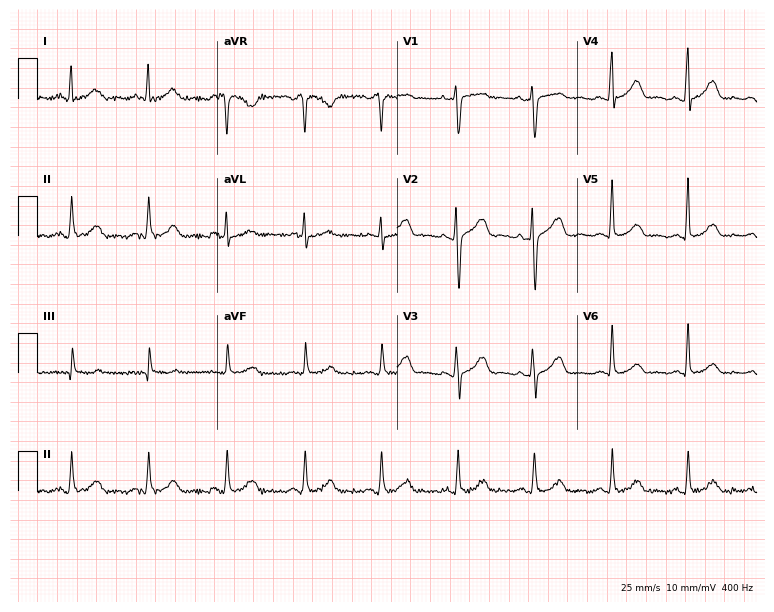
ECG — a female, 59 years old. Screened for six findings — first-degree AV block, right bundle branch block (RBBB), left bundle branch block (LBBB), sinus bradycardia, atrial fibrillation (AF), sinus tachycardia — none is recorded. Findings outside these six are not listed.